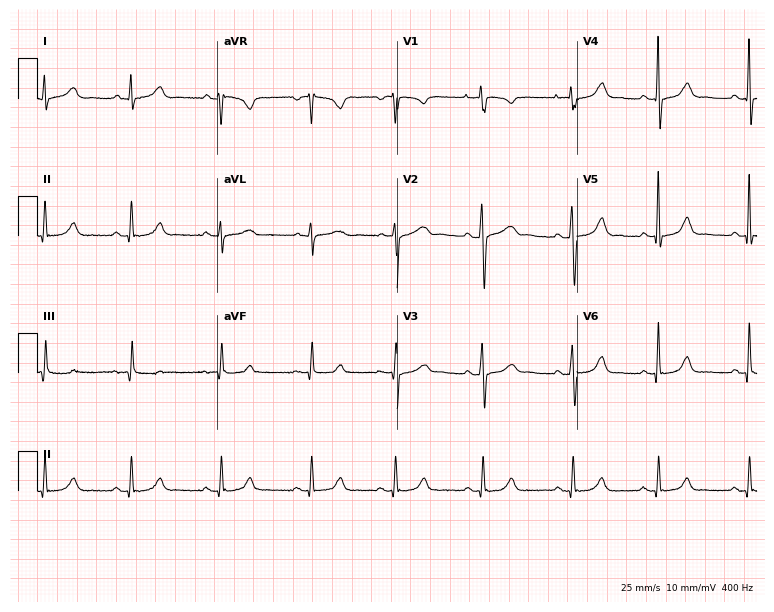
Resting 12-lead electrocardiogram (7.3-second recording at 400 Hz). Patient: a 35-year-old female. None of these six findings is recorded: first-degree AV block, right bundle branch block, left bundle branch block, sinus bradycardia, atrial fibrillation, sinus tachycardia.